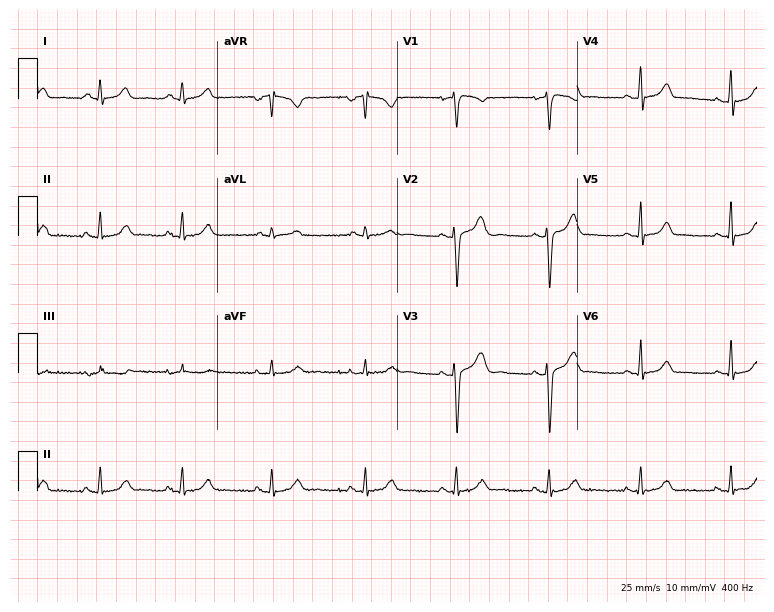
12-lead ECG from a woman, 43 years old. Recorded interpretation: within normal limits.